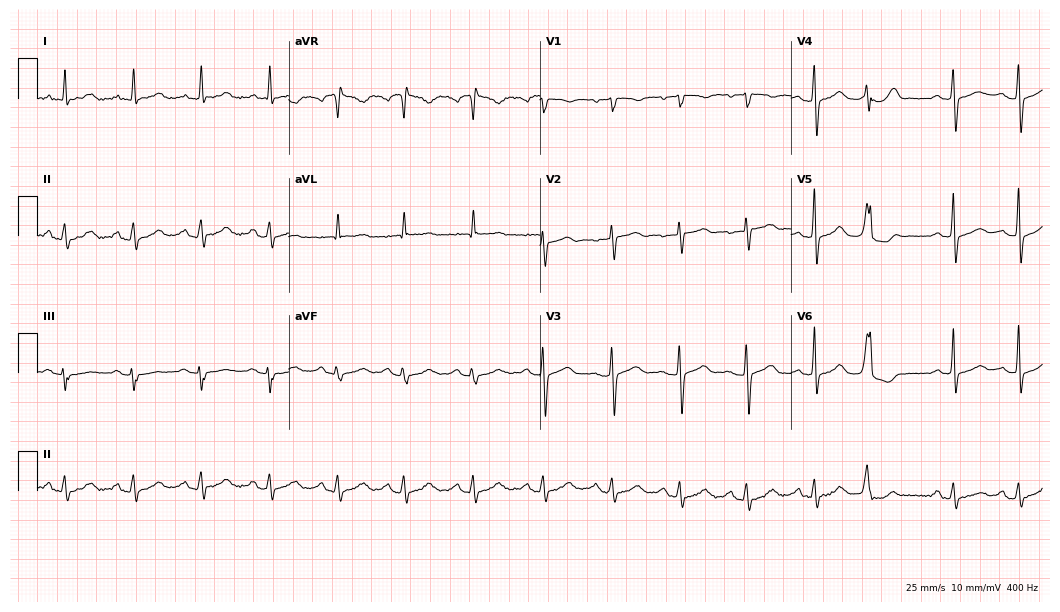
Resting 12-lead electrocardiogram (10.2-second recording at 400 Hz). Patient: a 60-year-old female. Read as a normal ECG.